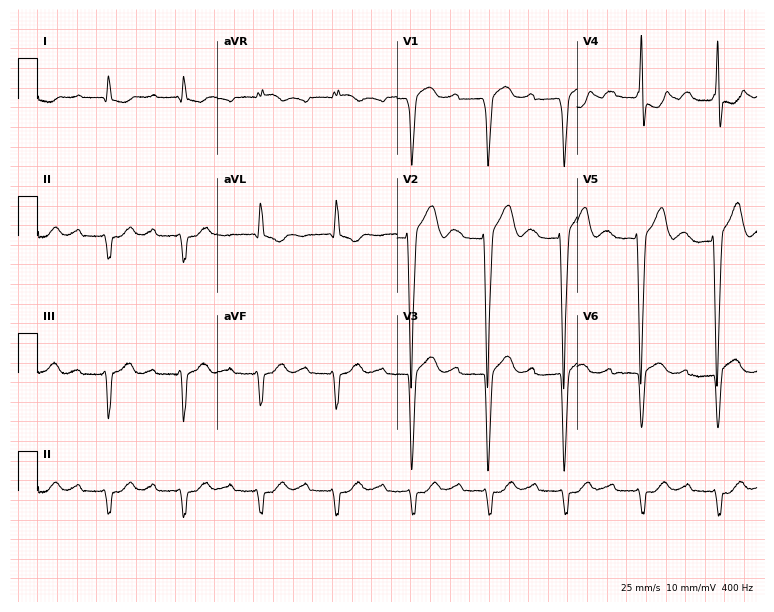
12-lead ECG from a 76-year-old woman. Findings include first-degree AV block.